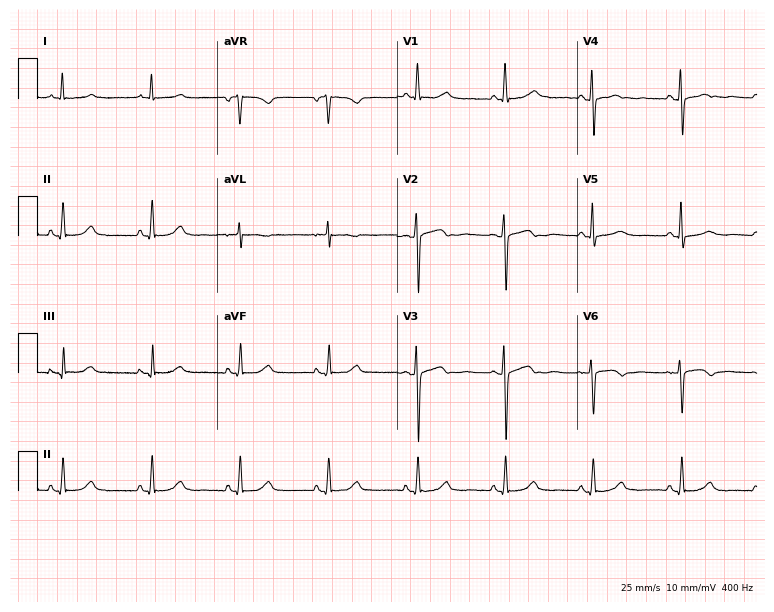
12-lead ECG from a woman, 52 years old (7.3-second recording at 400 Hz). No first-degree AV block, right bundle branch block, left bundle branch block, sinus bradycardia, atrial fibrillation or sinus tachycardia recorded for this tracing.